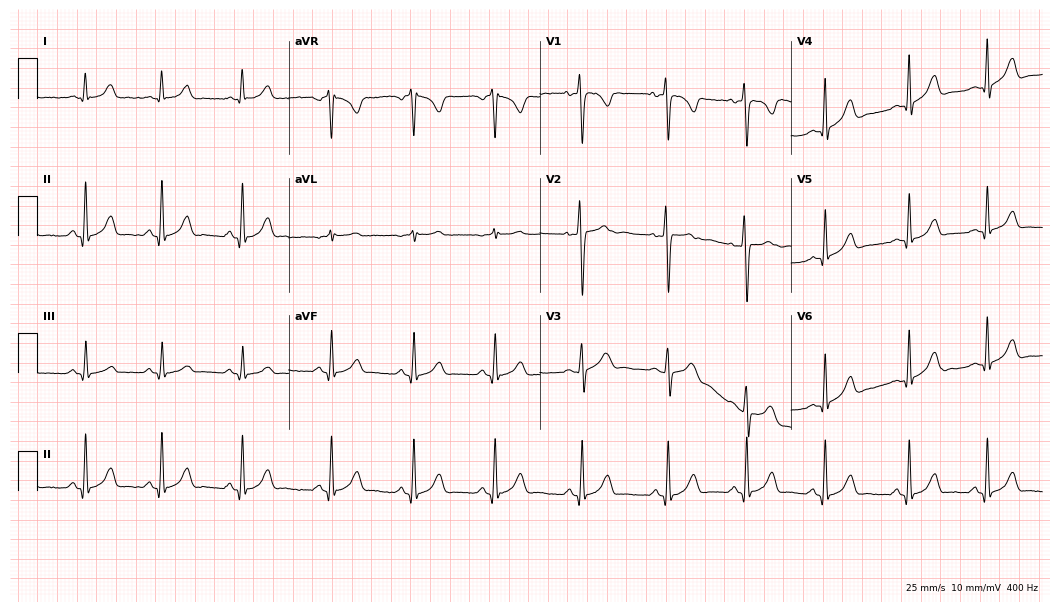
Standard 12-lead ECG recorded from a woman, 17 years old. Read as a normal ECG.